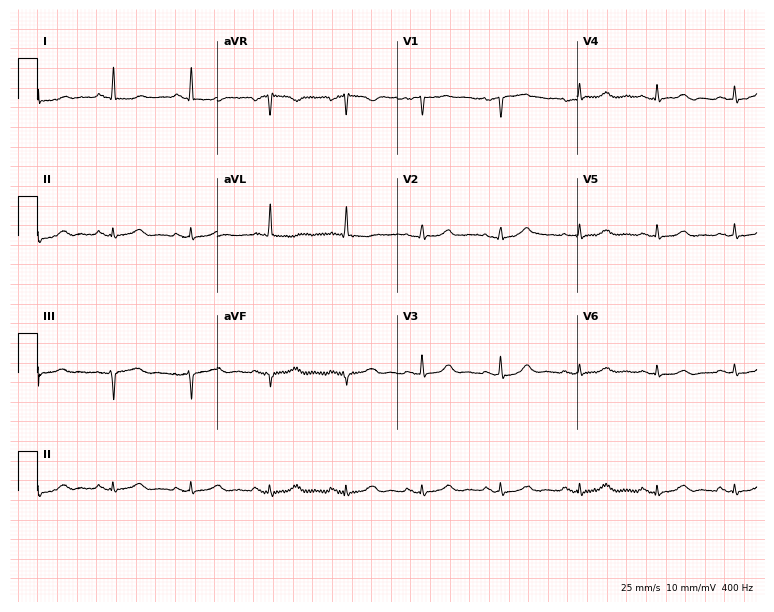
Standard 12-lead ECG recorded from a 64-year-old female. None of these six findings is recorded: first-degree AV block, right bundle branch block, left bundle branch block, sinus bradycardia, atrial fibrillation, sinus tachycardia.